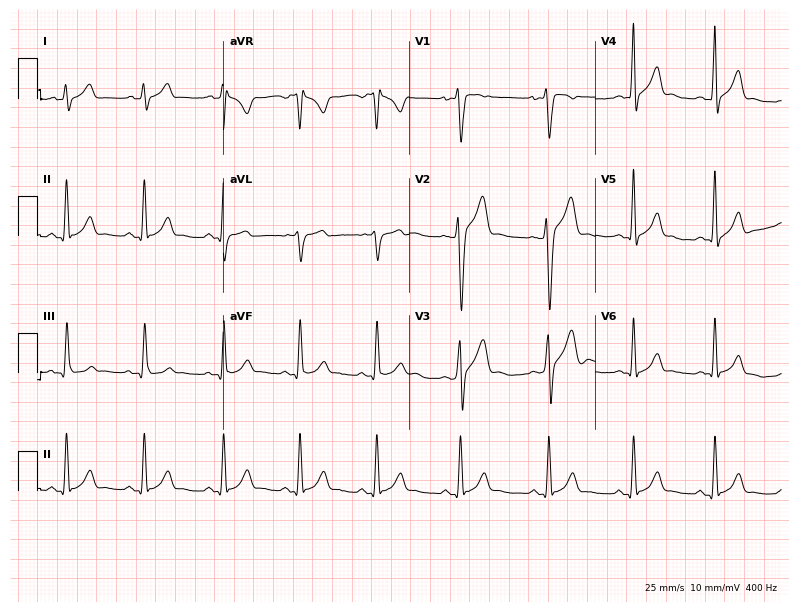
Standard 12-lead ECG recorded from a male, 23 years old (7.6-second recording at 400 Hz). None of these six findings is recorded: first-degree AV block, right bundle branch block, left bundle branch block, sinus bradycardia, atrial fibrillation, sinus tachycardia. Only these six findings were labelled.